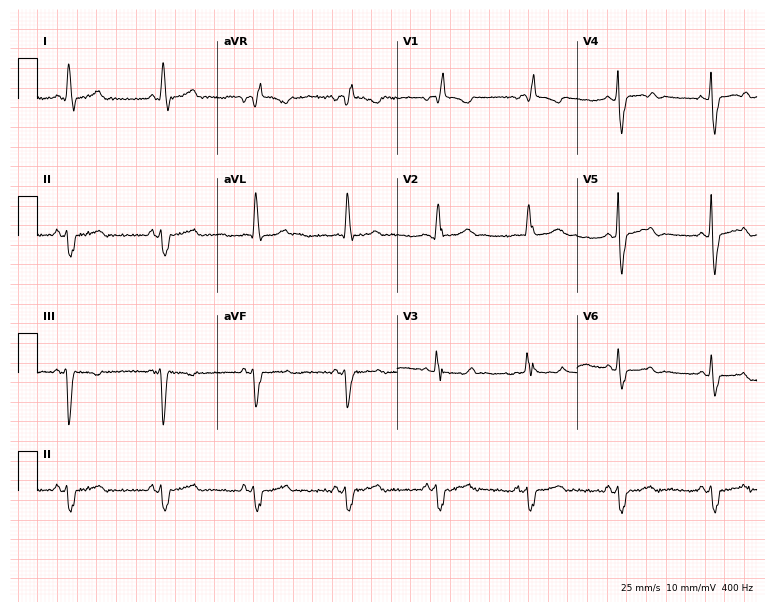
ECG — a female patient, 62 years old. Screened for six findings — first-degree AV block, right bundle branch block (RBBB), left bundle branch block (LBBB), sinus bradycardia, atrial fibrillation (AF), sinus tachycardia — none is recorded. Only these six findings were labelled.